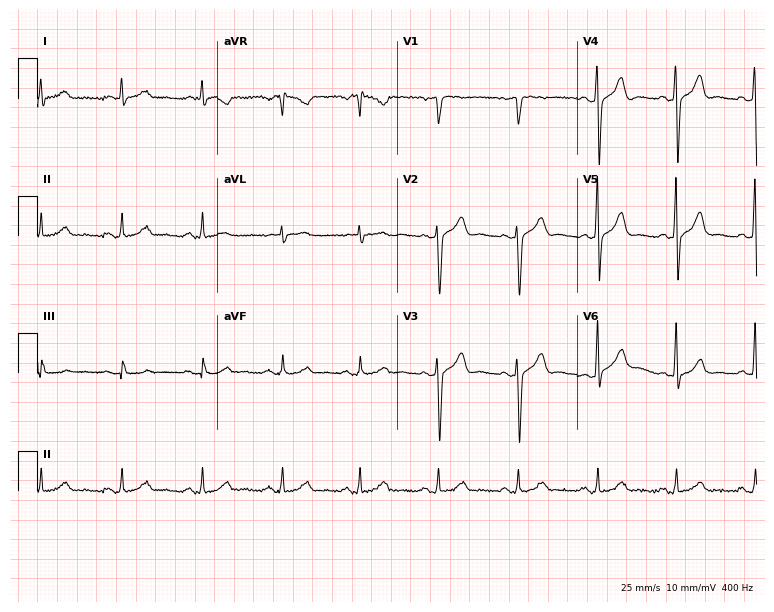
ECG — a 63-year-old male patient. Labelled as a normal ECG.